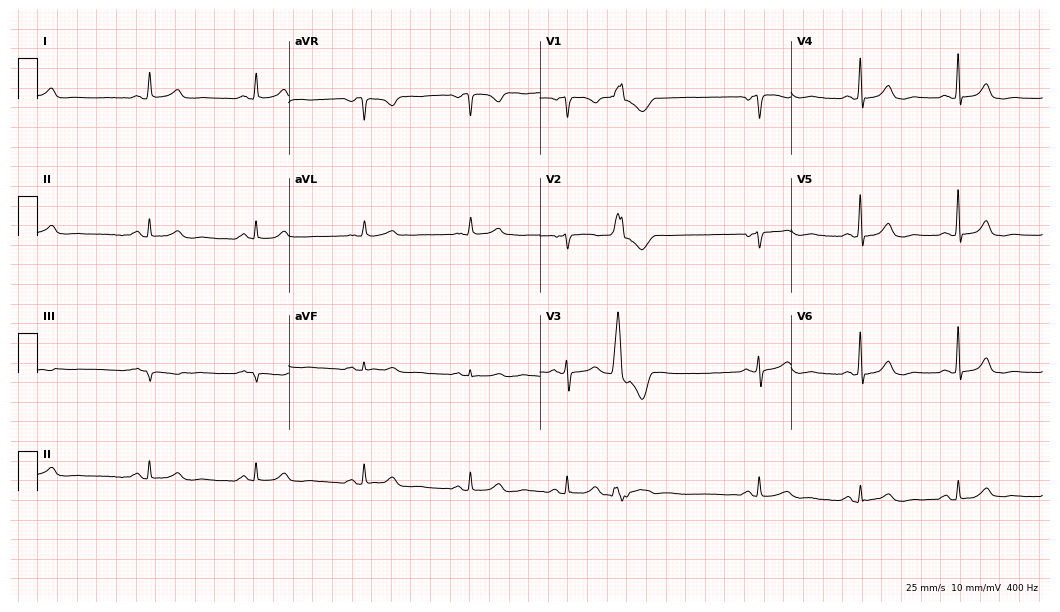
ECG — a 76-year-old woman. Labelled as a normal ECG.